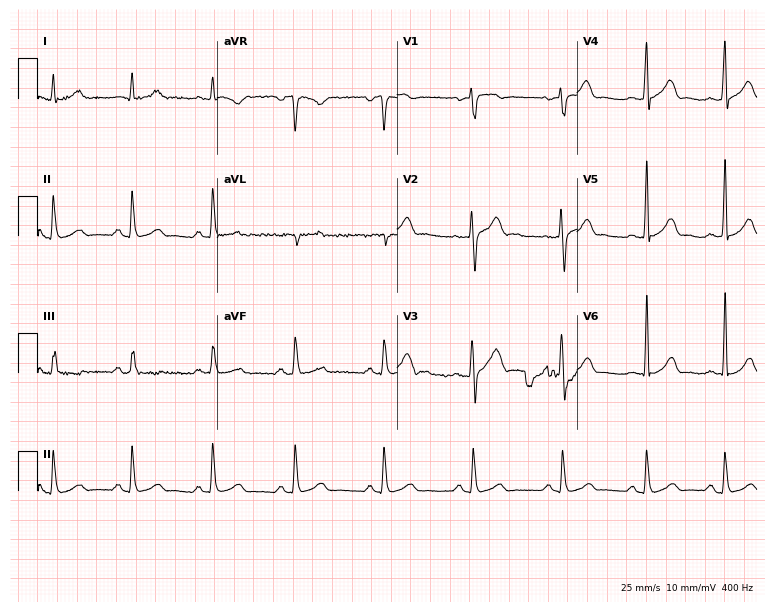
Resting 12-lead electrocardiogram (7.3-second recording at 400 Hz). Patient: a male, 30 years old. None of these six findings is recorded: first-degree AV block, right bundle branch block (RBBB), left bundle branch block (LBBB), sinus bradycardia, atrial fibrillation (AF), sinus tachycardia.